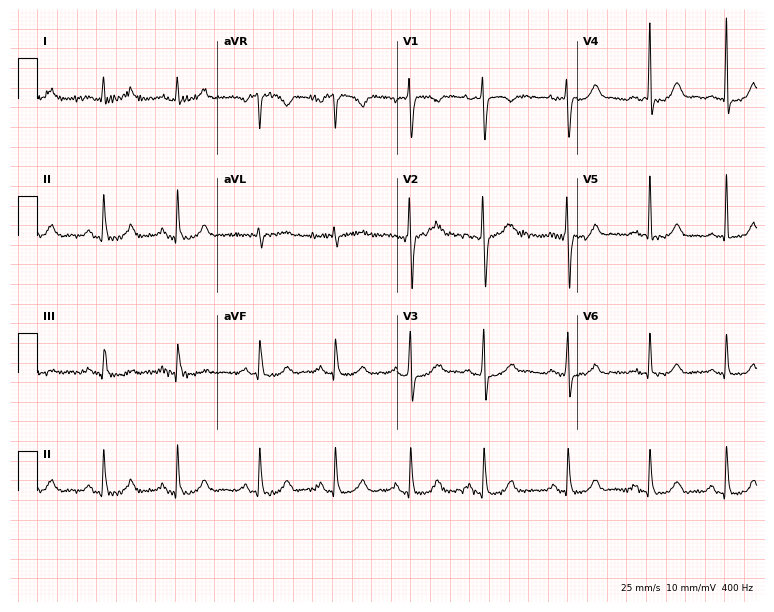
12-lead ECG from a woman, 34 years old. Labelled as a normal ECG.